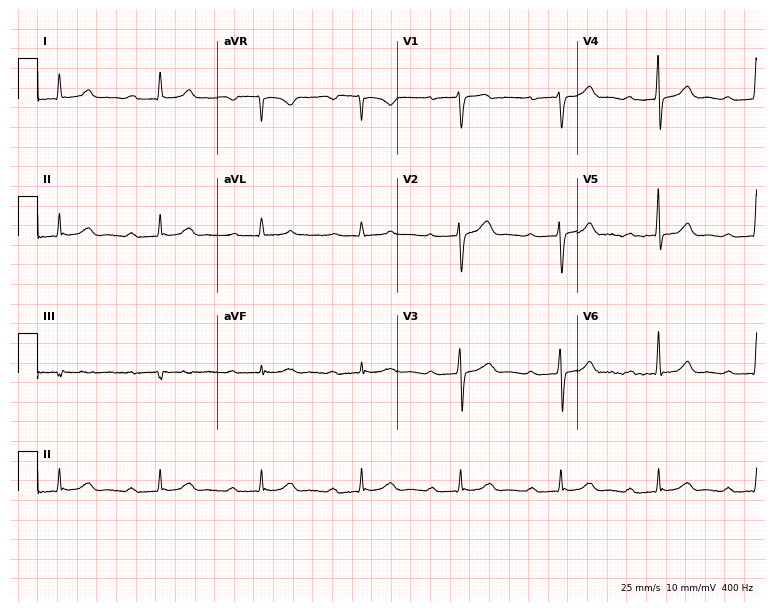
12-lead ECG from a 69-year-old man. Findings include first-degree AV block.